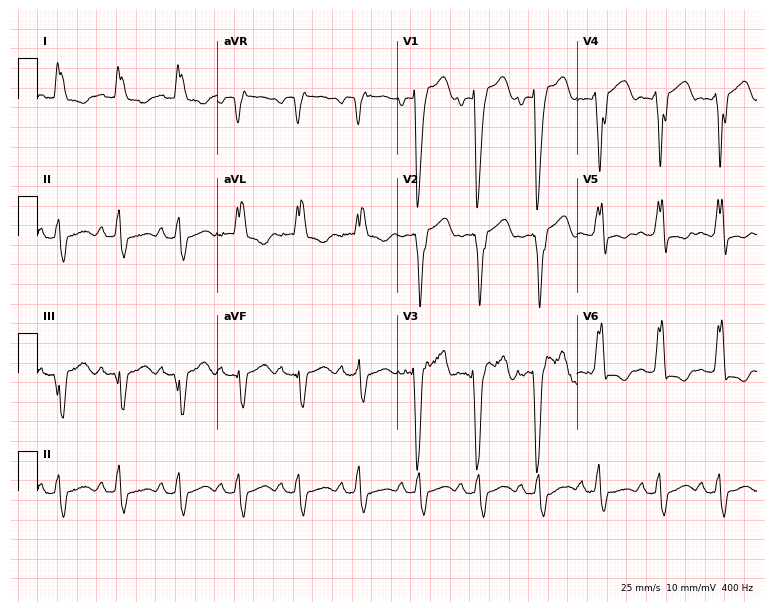
Resting 12-lead electrocardiogram. Patient: a 60-year-old female. The tracing shows left bundle branch block (LBBB).